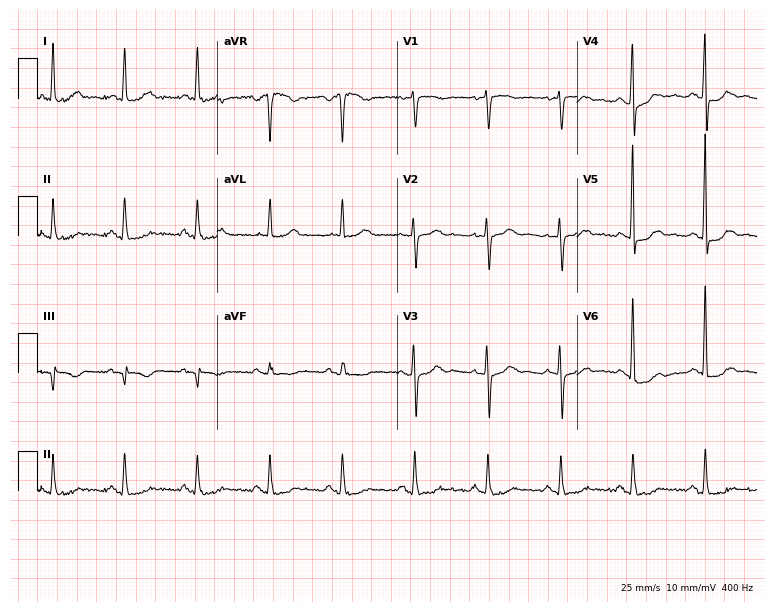
ECG (7.3-second recording at 400 Hz) — a woman, 64 years old. Screened for six findings — first-degree AV block, right bundle branch block, left bundle branch block, sinus bradycardia, atrial fibrillation, sinus tachycardia — none is recorded.